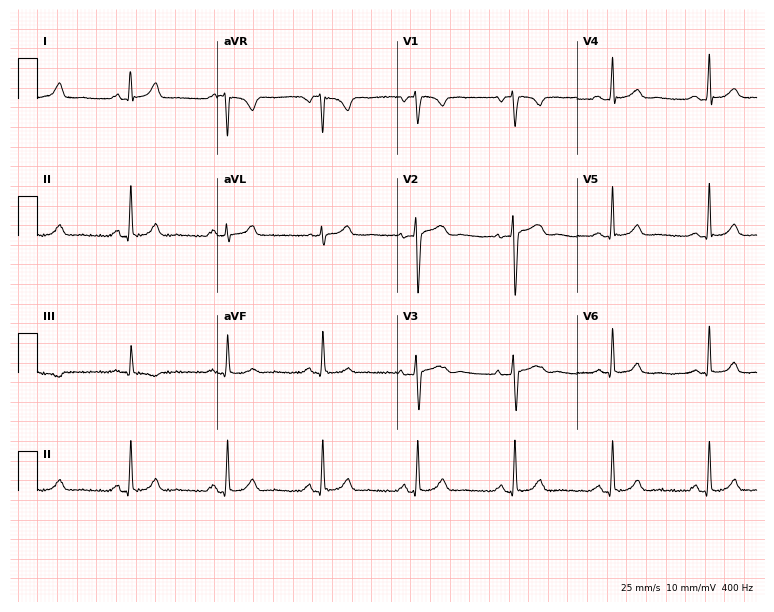
Standard 12-lead ECG recorded from a 39-year-old female patient (7.3-second recording at 400 Hz). Read as a normal ECG.